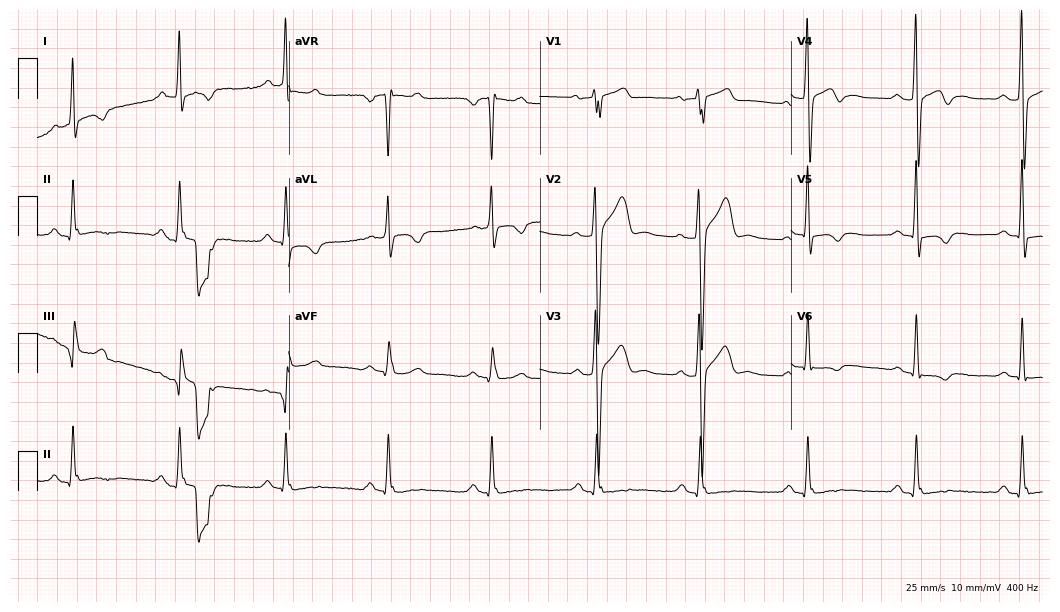
Resting 12-lead electrocardiogram. Patient: a man, 36 years old. None of these six findings is recorded: first-degree AV block, right bundle branch block, left bundle branch block, sinus bradycardia, atrial fibrillation, sinus tachycardia. Findings outside these six are not listed.